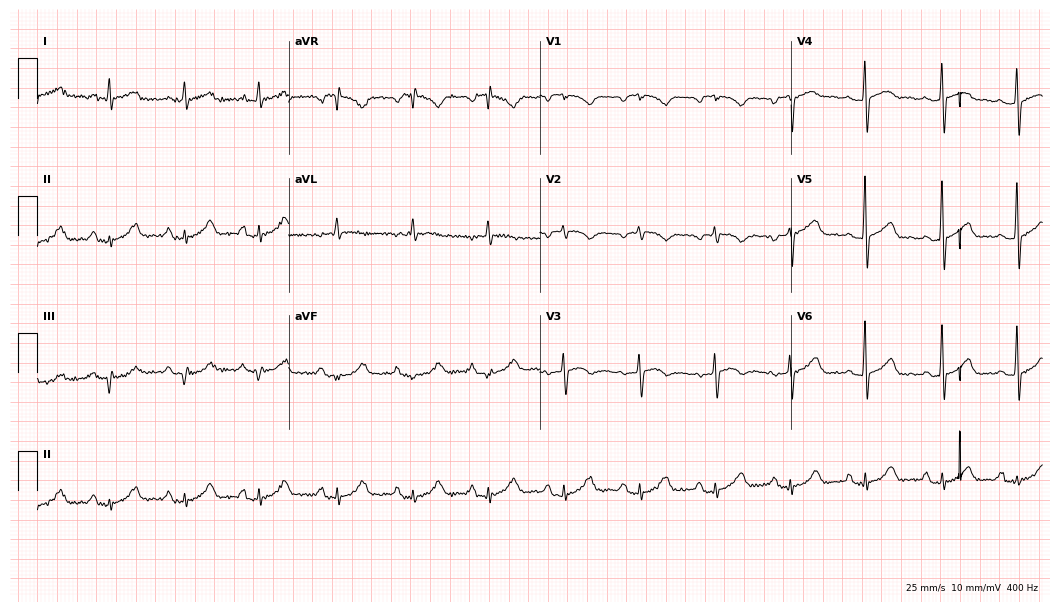
Electrocardiogram (10.2-second recording at 400 Hz), a female, 70 years old. Overall reading on record: normal ECG.